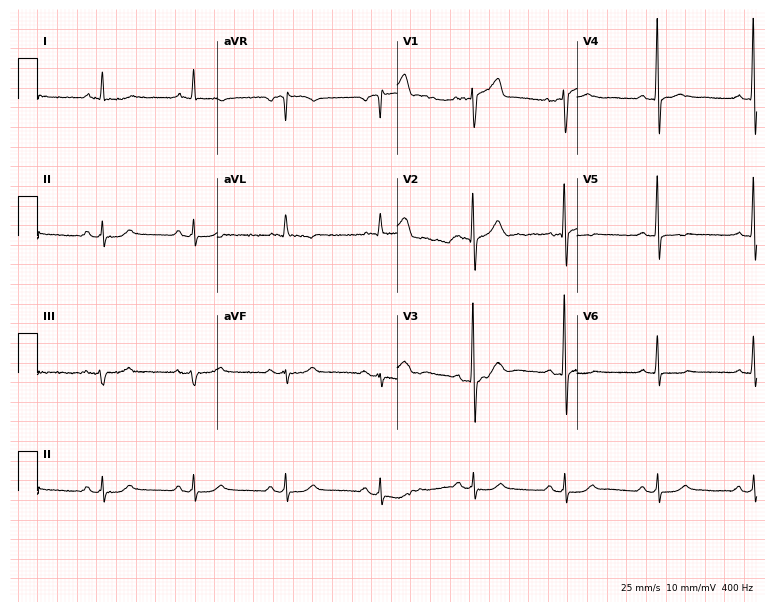
Electrocardiogram, a male patient, 71 years old. Of the six screened findings (first-degree AV block, right bundle branch block, left bundle branch block, sinus bradycardia, atrial fibrillation, sinus tachycardia), none is recorded. Only these six findings were labelled.